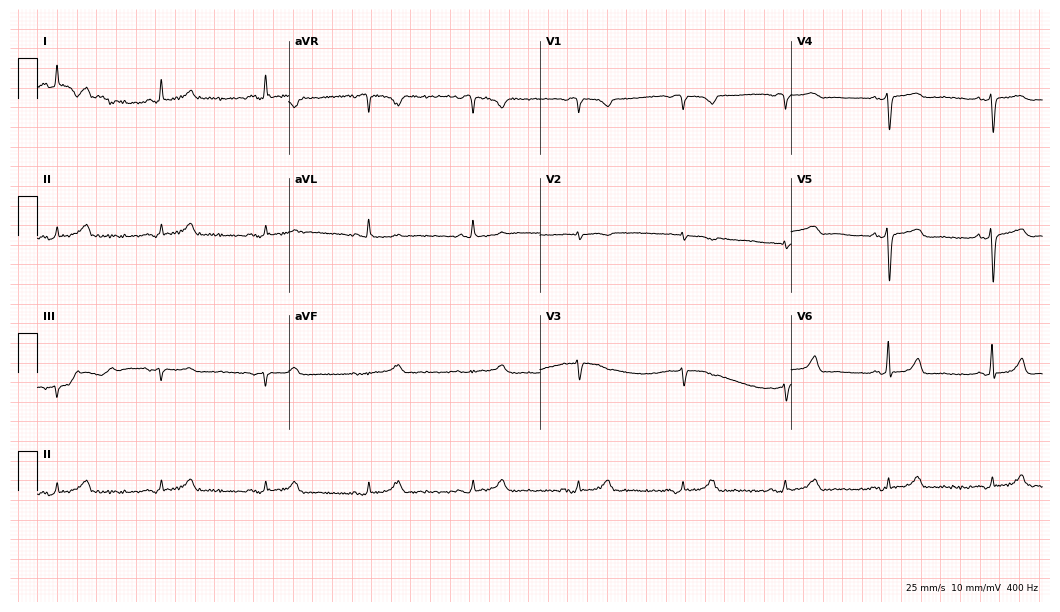
12-lead ECG from a female, 76 years old. Screened for six findings — first-degree AV block, right bundle branch block, left bundle branch block, sinus bradycardia, atrial fibrillation, sinus tachycardia — none is recorded.